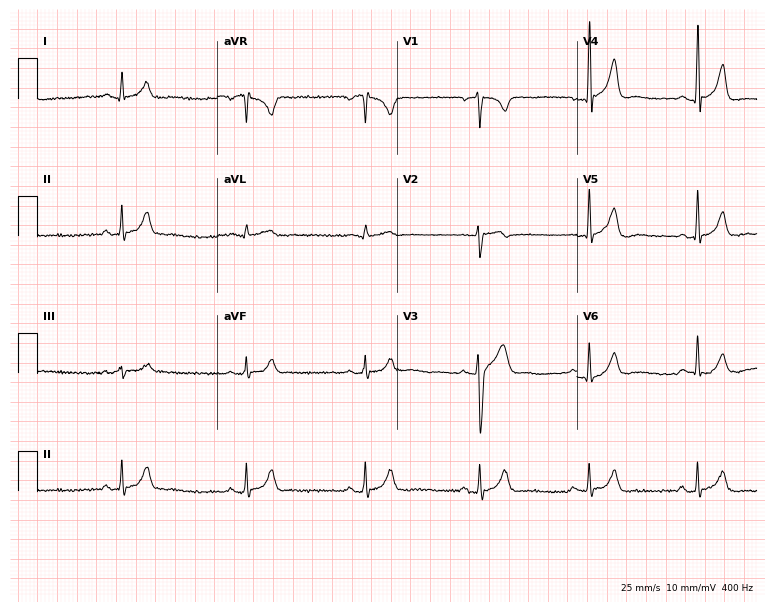
Electrocardiogram (7.3-second recording at 400 Hz), a male patient, 47 years old. Of the six screened findings (first-degree AV block, right bundle branch block, left bundle branch block, sinus bradycardia, atrial fibrillation, sinus tachycardia), none is recorded. Findings outside these six are not listed.